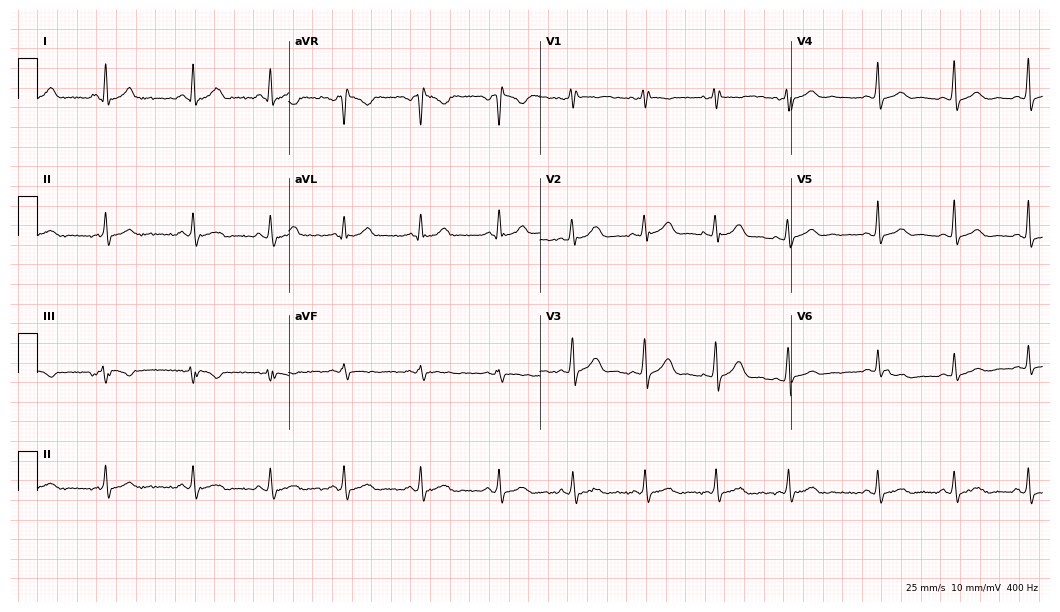
12-lead ECG from a woman, 24 years old. Labelled as a normal ECG.